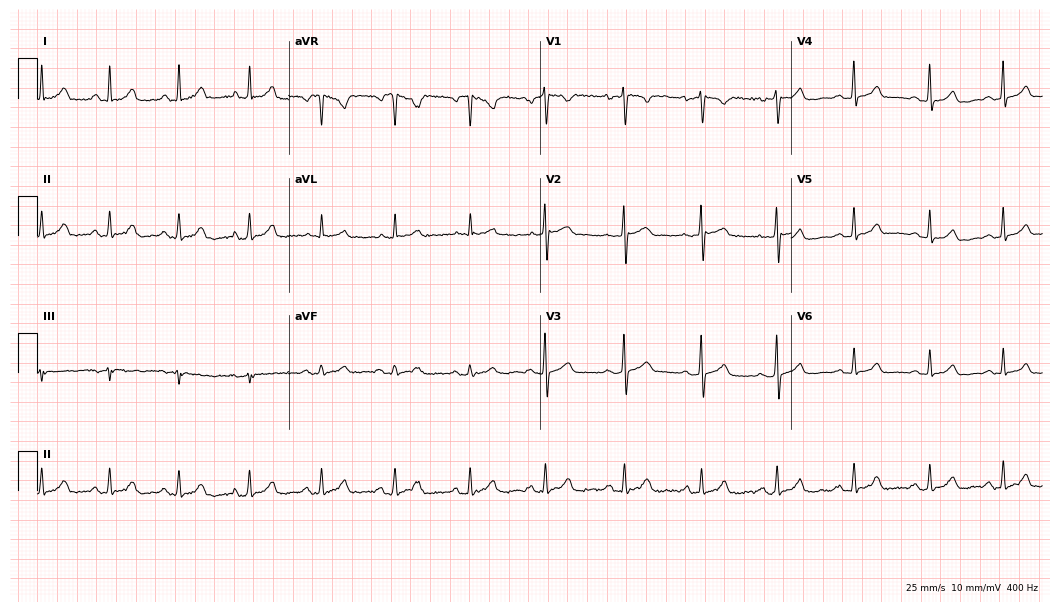
Resting 12-lead electrocardiogram. Patient: a female, 37 years old. None of these six findings is recorded: first-degree AV block, right bundle branch block, left bundle branch block, sinus bradycardia, atrial fibrillation, sinus tachycardia.